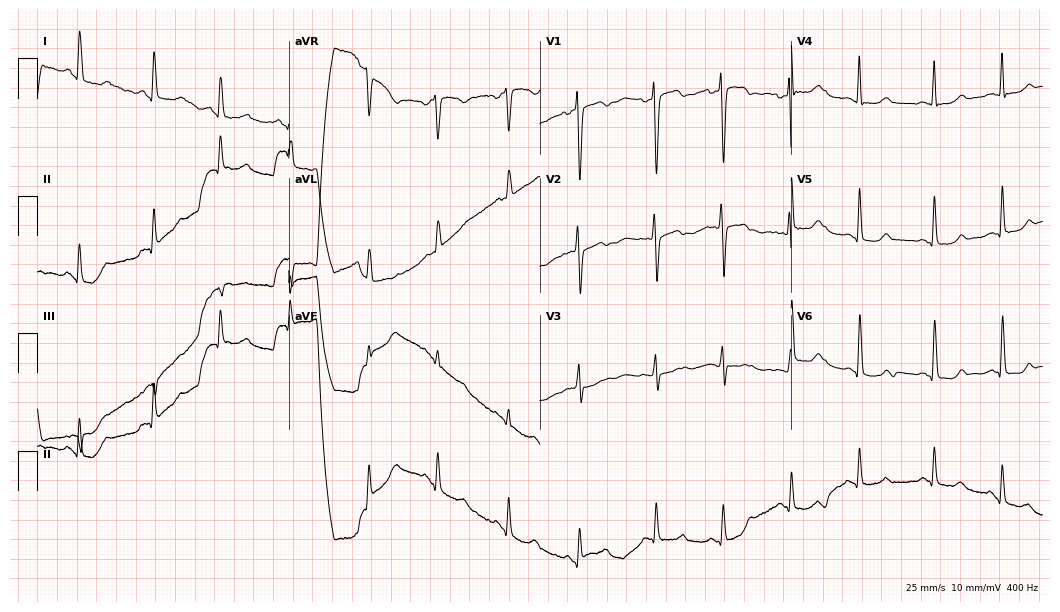
ECG (10.2-second recording at 400 Hz) — a female patient, 56 years old. Screened for six findings — first-degree AV block, right bundle branch block (RBBB), left bundle branch block (LBBB), sinus bradycardia, atrial fibrillation (AF), sinus tachycardia — none is recorded.